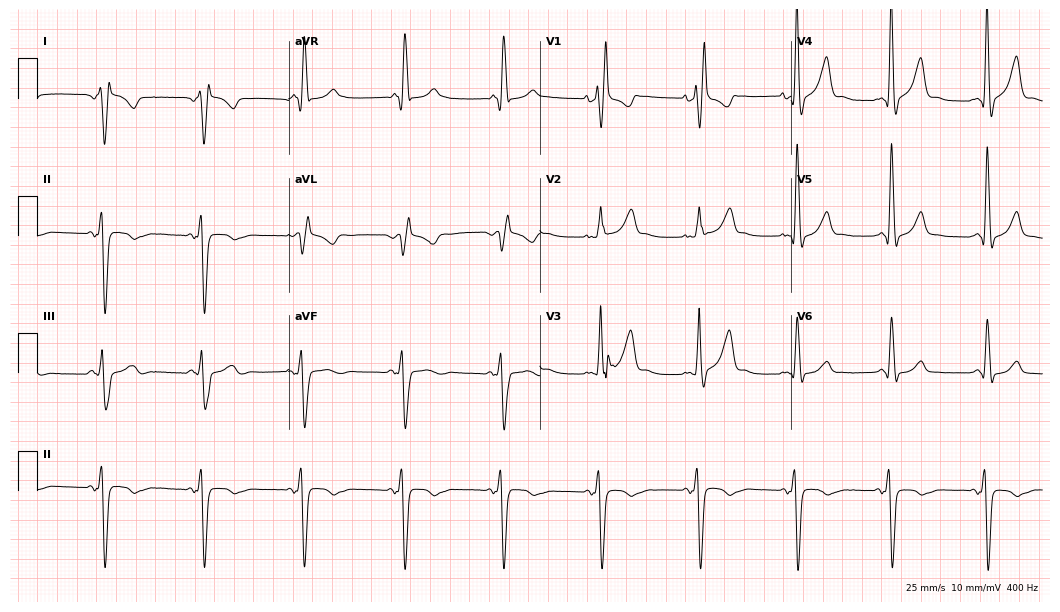
Standard 12-lead ECG recorded from a male, 85 years old. None of these six findings is recorded: first-degree AV block, right bundle branch block, left bundle branch block, sinus bradycardia, atrial fibrillation, sinus tachycardia. Only these six findings were labelled.